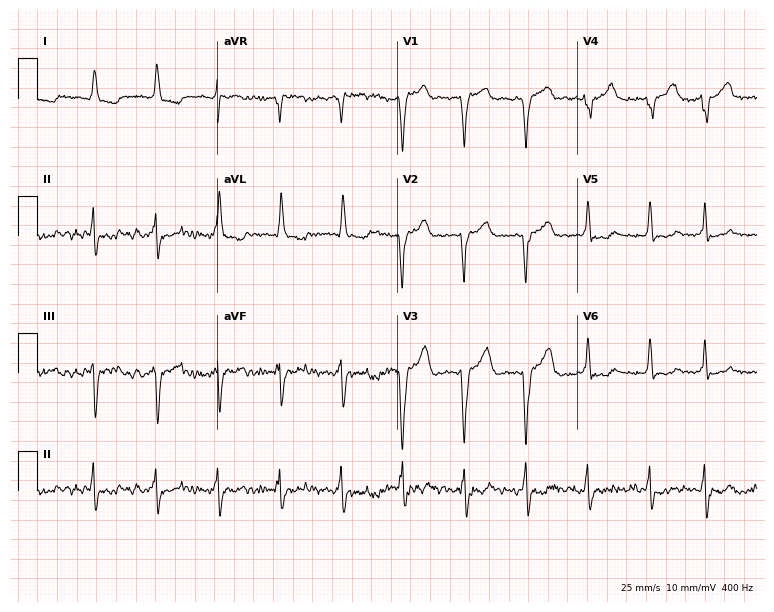
Standard 12-lead ECG recorded from a 69-year-old male patient (7.3-second recording at 400 Hz). None of these six findings is recorded: first-degree AV block, right bundle branch block, left bundle branch block, sinus bradycardia, atrial fibrillation, sinus tachycardia. Only these six findings were labelled.